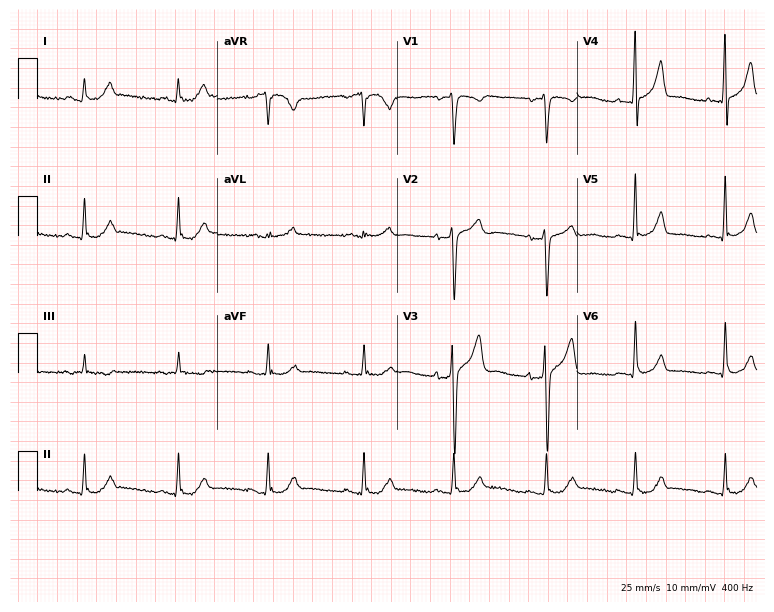
Electrocardiogram (7.3-second recording at 400 Hz), a 38-year-old male patient. Overall reading on record: normal ECG.